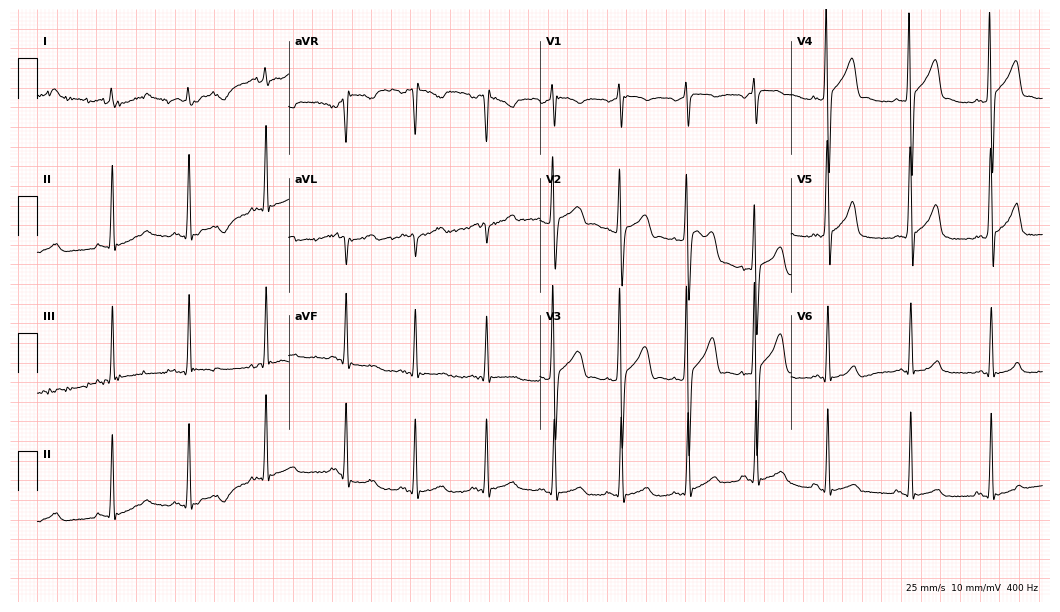
ECG — a 26-year-old male patient. Screened for six findings — first-degree AV block, right bundle branch block, left bundle branch block, sinus bradycardia, atrial fibrillation, sinus tachycardia — none is recorded.